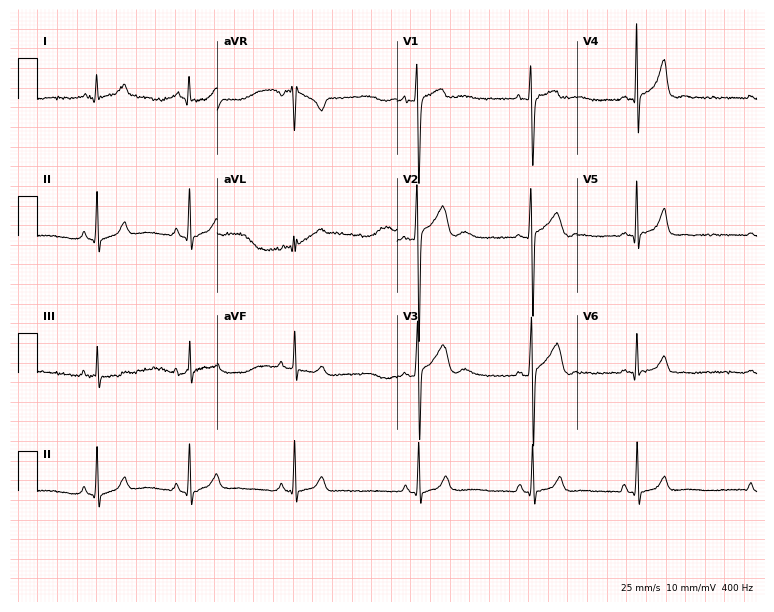
Resting 12-lead electrocardiogram. Patient: a male, 17 years old. None of these six findings is recorded: first-degree AV block, right bundle branch block (RBBB), left bundle branch block (LBBB), sinus bradycardia, atrial fibrillation (AF), sinus tachycardia. Other findings, if any, are not listed.